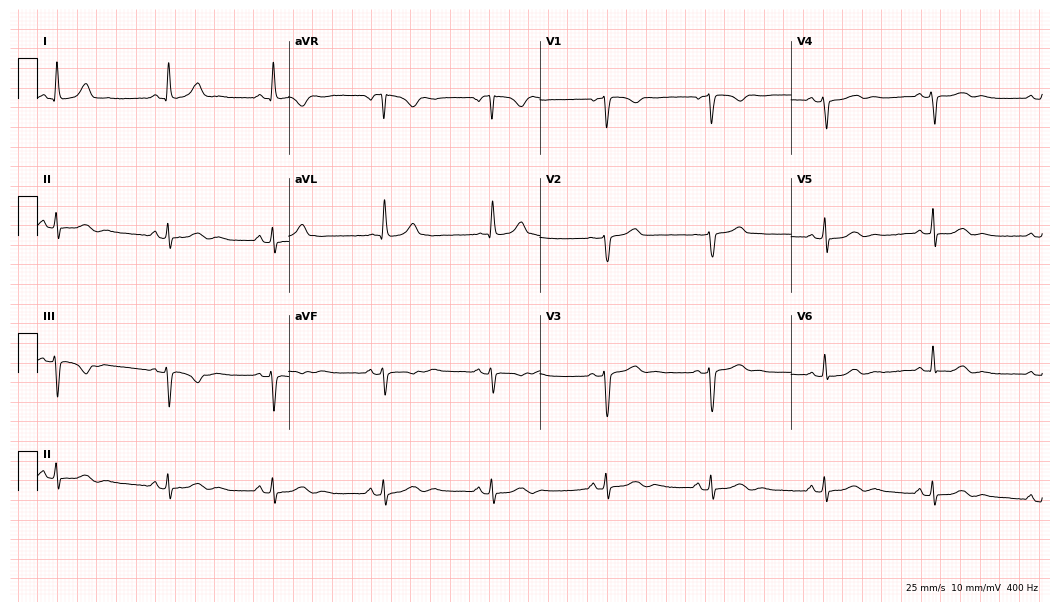
Standard 12-lead ECG recorded from a female, 43 years old. None of these six findings is recorded: first-degree AV block, right bundle branch block, left bundle branch block, sinus bradycardia, atrial fibrillation, sinus tachycardia.